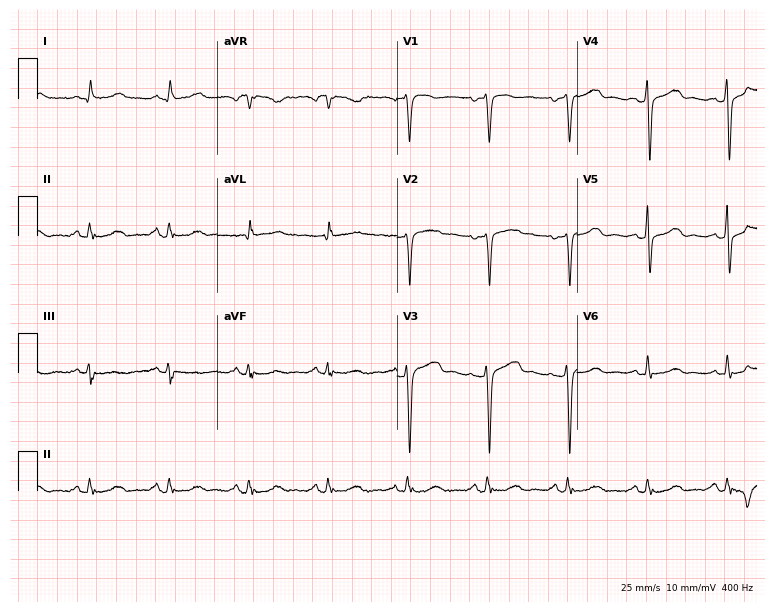
12-lead ECG from a 51-year-old female. No first-degree AV block, right bundle branch block, left bundle branch block, sinus bradycardia, atrial fibrillation or sinus tachycardia recorded for this tracing.